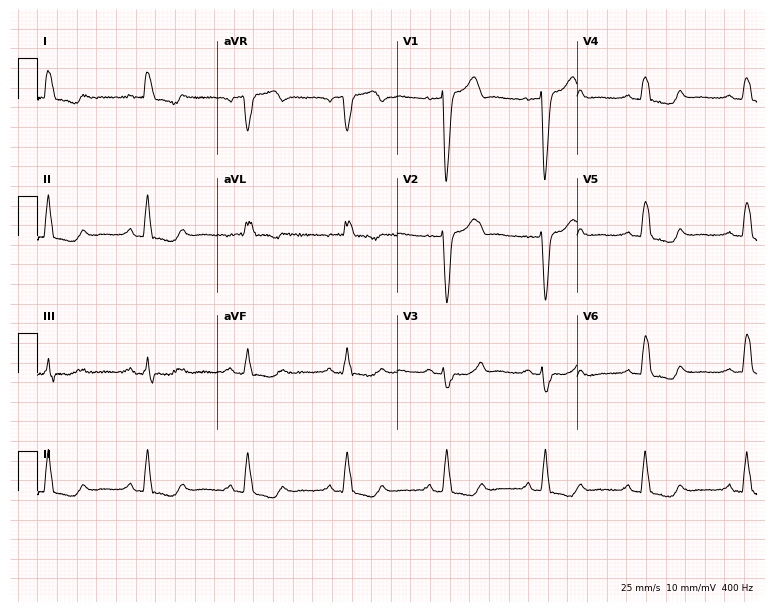
12-lead ECG from a 67-year-old woman. Findings include left bundle branch block.